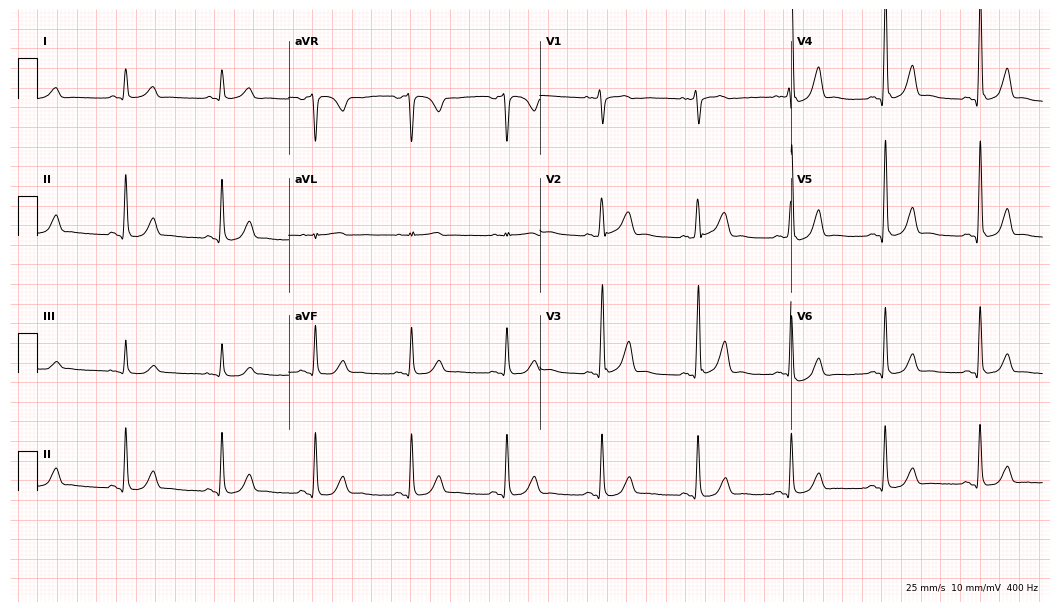
Resting 12-lead electrocardiogram (10.2-second recording at 400 Hz). Patient: a man, 68 years old. None of these six findings is recorded: first-degree AV block, right bundle branch block, left bundle branch block, sinus bradycardia, atrial fibrillation, sinus tachycardia.